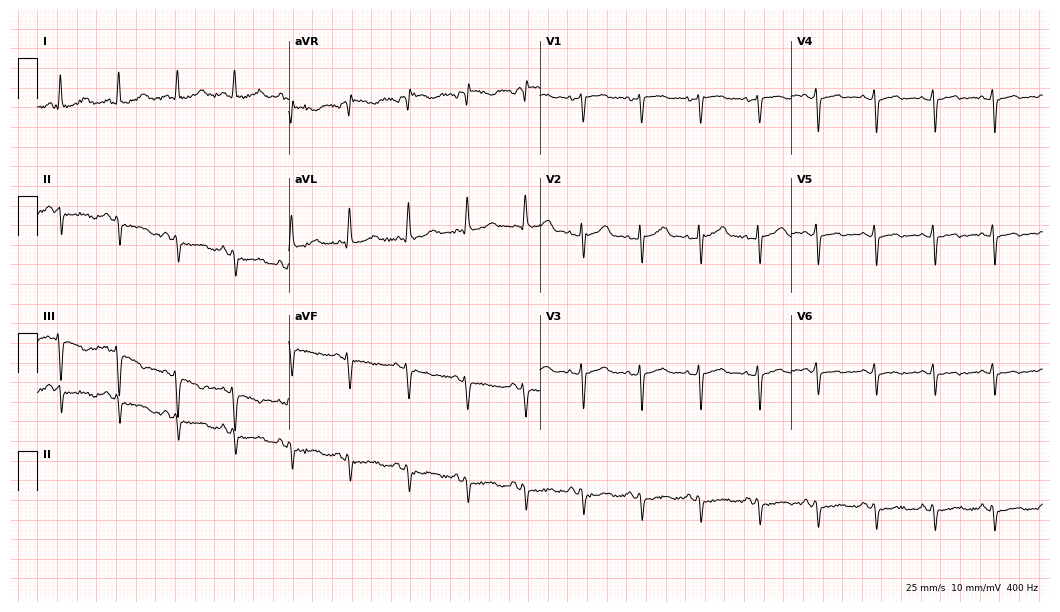
12-lead ECG from a 48-year-old female. Screened for six findings — first-degree AV block, right bundle branch block, left bundle branch block, sinus bradycardia, atrial fibrillation, sinus tachycardia — none is recorded.